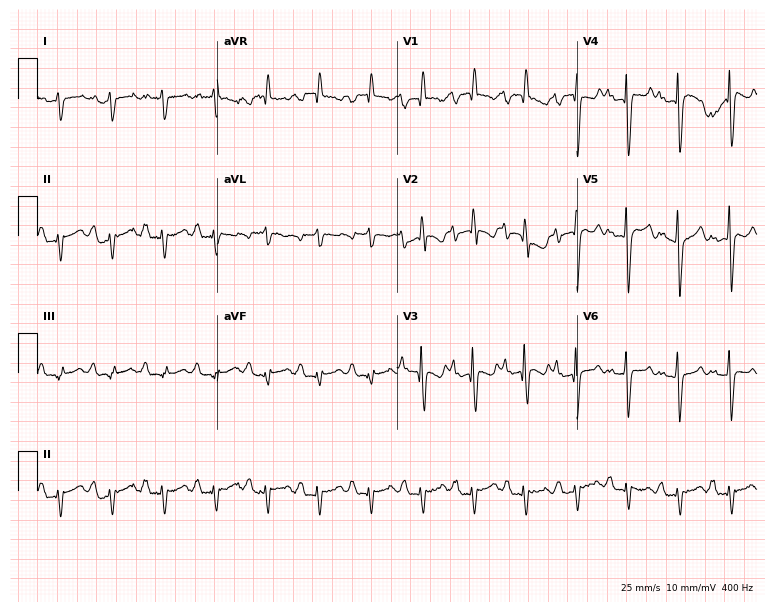
Electrocardiogram (7.3-second recording at 400 Hz), a 53-year-old male patient. Interpretation includes sinus tachycardia (a sinus rate of 100 beats per minute or more).